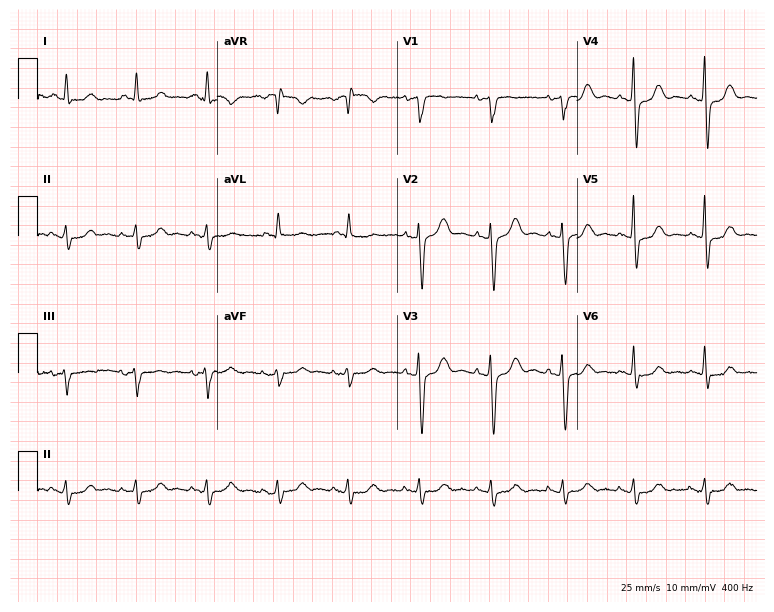
12-lead ECG from a man, 76 years old (7.3-second recording at 400 Hz). No first-degree AV block, right bundle branch block (RBBB), left bundle branch block (LBBB), sinus bradycardia, atrial fibrillation (AF) or sinus tachycardia recorded for this tracing. Findings outside these six are not listed.